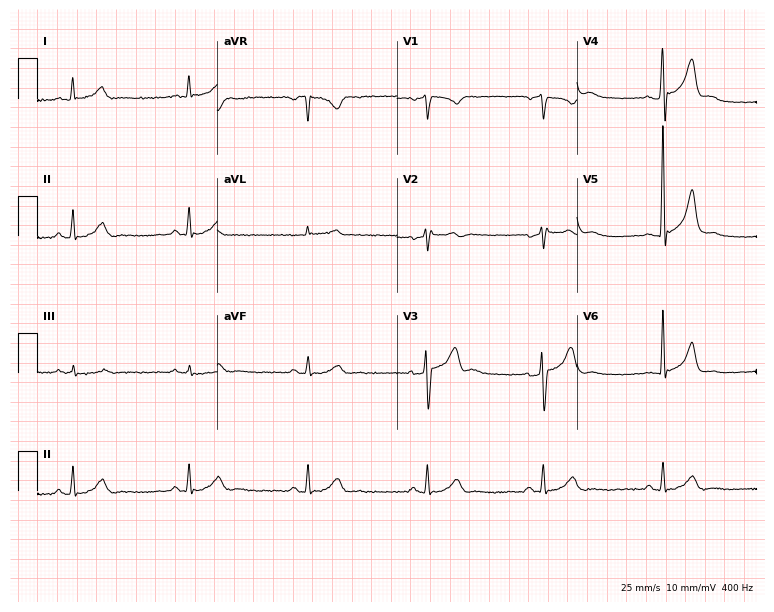
12-lead ECG (7.3-second recording at 400 Hz) from a 54-year-old male. Screened for six findings — first-degree AV block, right bundle branch block, left bundle branch block, sinus bradycardia, atrial fibrillation, sinus tachycardia — none is recorded. Findings outside these six are not listed.